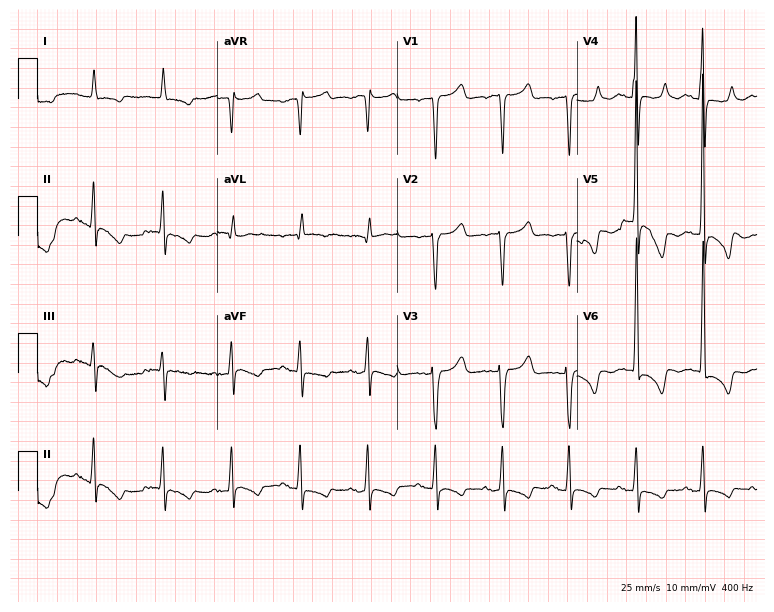
Electrocardiogram, a man, 82 years old. Of the six screened findings (first-degree AV block, right bundle branch block, left bundle branch block, sinus bradycardia, atrial fibrillation, sinus tachycardia), none is recorded.